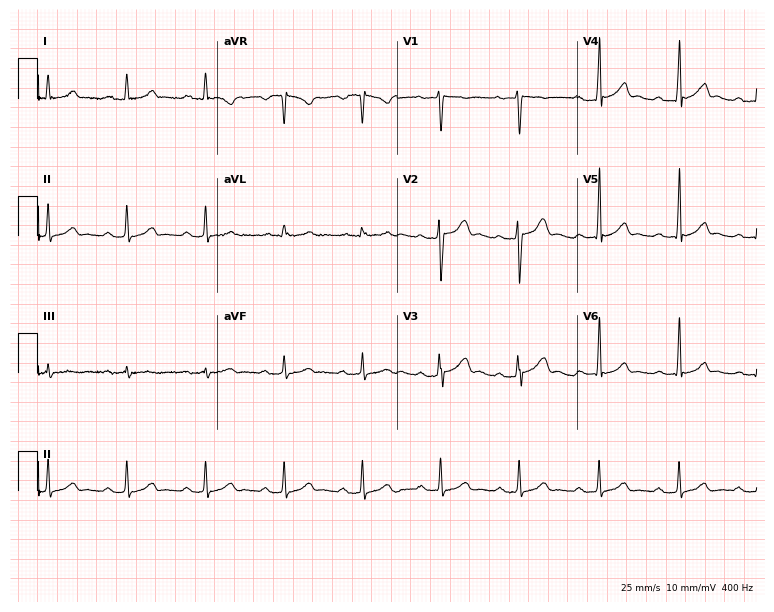
Standard 12-lead ECG recorded from a 32-year-old male patient (7.3-second recording at 400 Hz). Read as a normal ECG.